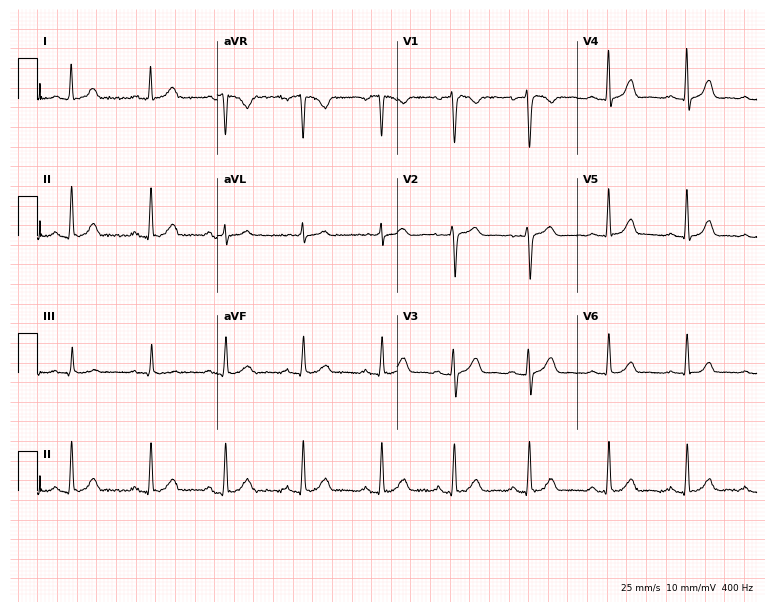
12-lead ECG (7.3-second recording at 400 Hz) from a female, 42 years old. Labelled as a normal ECG.